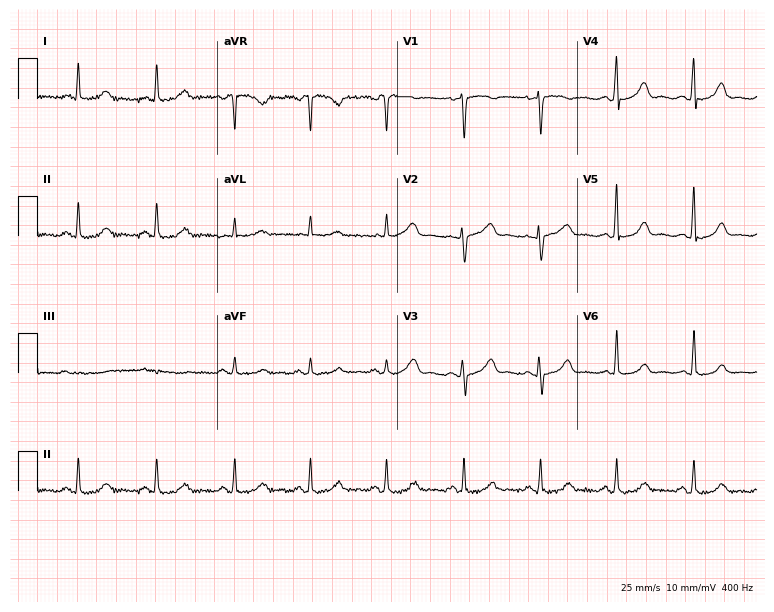
Standard 12-lead ECG recorded from a 48-year-old female (7.3-second recording at 400 Hz). None of these six findings is recorded: first-degree AV block, right bundle branch block, left bundle branch block, sinus bradycardia, atrial fibrillation, sinus tachycardia.